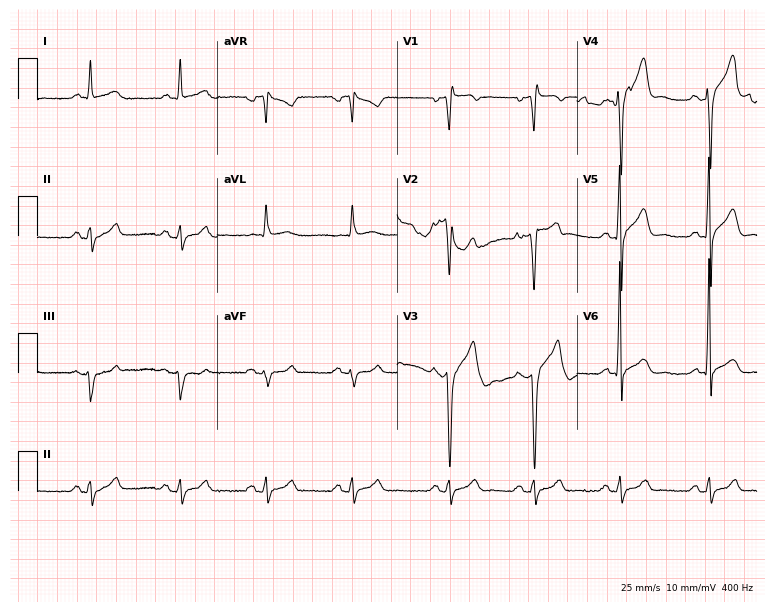
Resting 12-lead electrocardiogram (7.3-second recording at 400 Hz). Patient: a male, 66 years old. Read as a normal ECG.